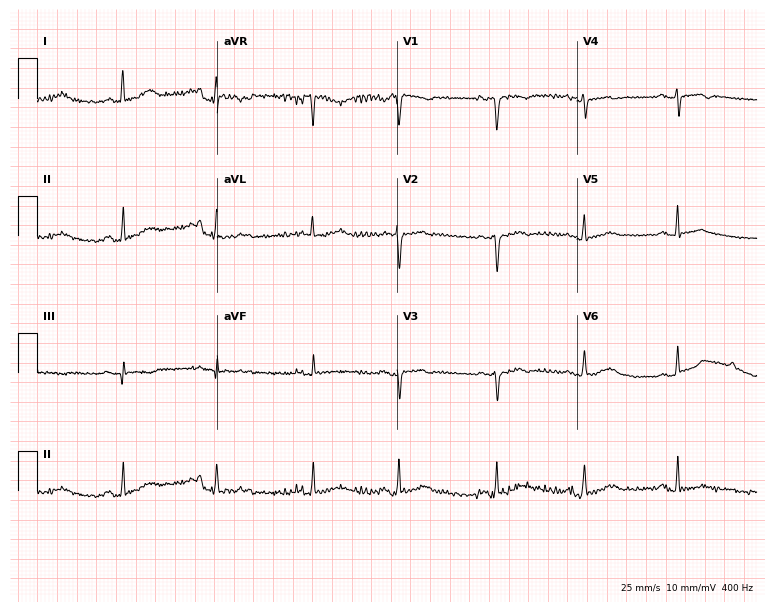
Electrocardiogram (7.3-second recording at 400 Hz), a 72-year-old female patient. Overall reading on record: normal ECG.